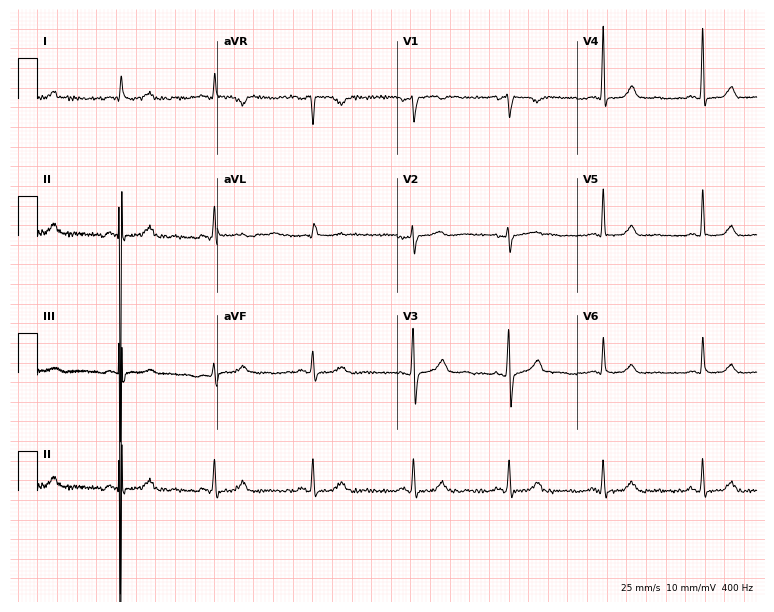
12-lead ECG from a female patient, 55 years old (7.3-second recording at 400 Hz). No first-degree AV block, right bundle branch block (RBBB), left bundle branch block (LBBB), sinus bradycardia, atrial fibrillation (AF) or sinus tachycardia recorded for this tracing. Only these six findings were labelled.